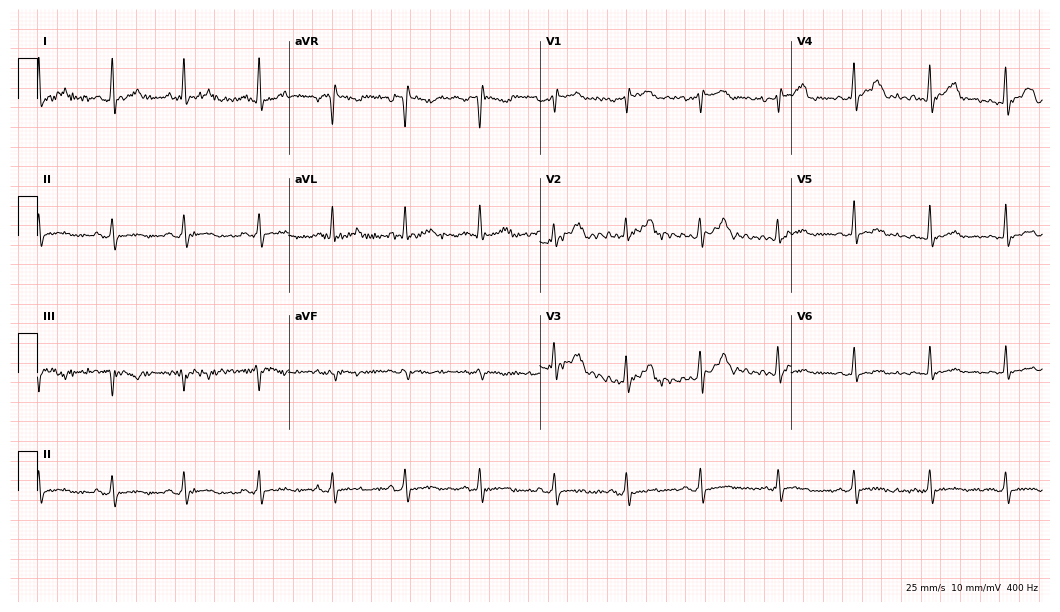
ECG (10.2-second recording at 400 Hz) — a 25-year-old woman. Screened for six findings — first-degree AV block, right bundle branch block (RBBB), left bundle branch block (LBBB), sinus bradycardia, atrial fibrillation (AF), sinus tachycardia — none is recorded. Other findings, if any, are not listed.